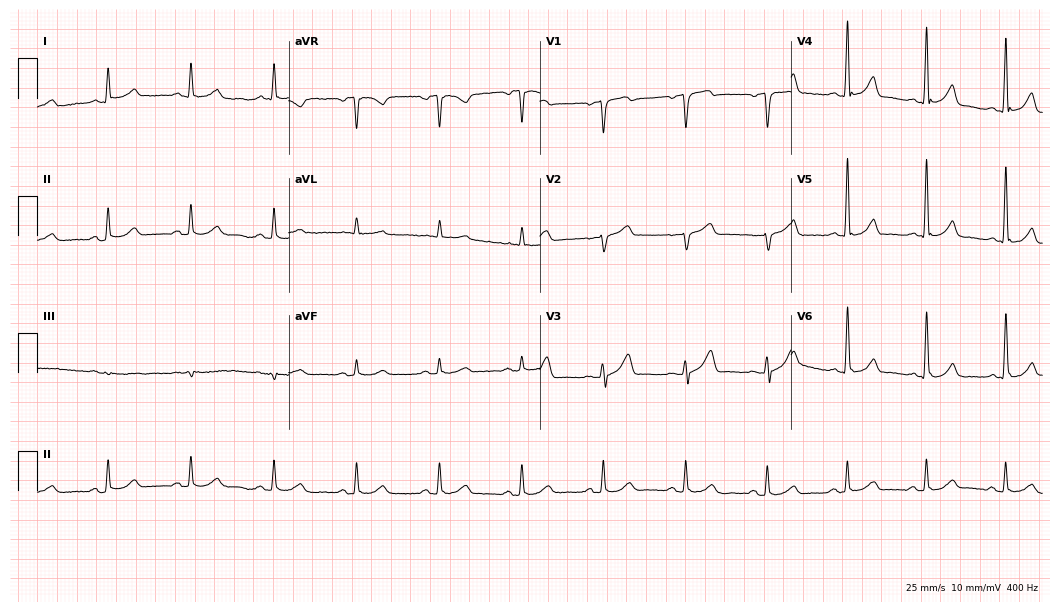
Standard 12-lead ECG recorded from a 76-year-old male patient (10.2-second recording at 400 Hz). Read as a normal ECG.